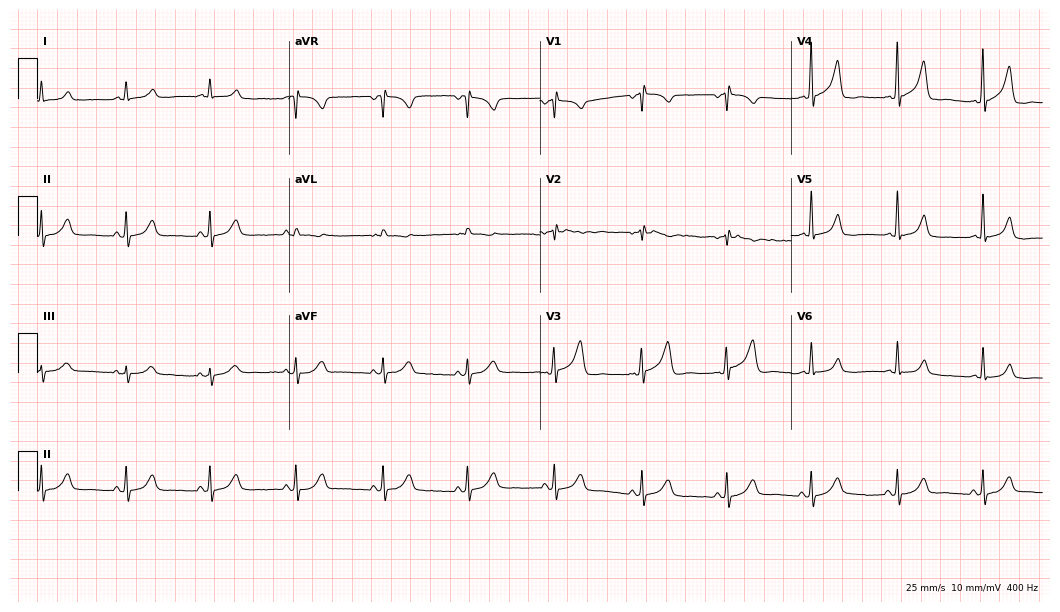
Standard 12-lead ECG recorded from a male, 65 years old (10.2-second recording at 400 Hz). Read as a normal ECG.